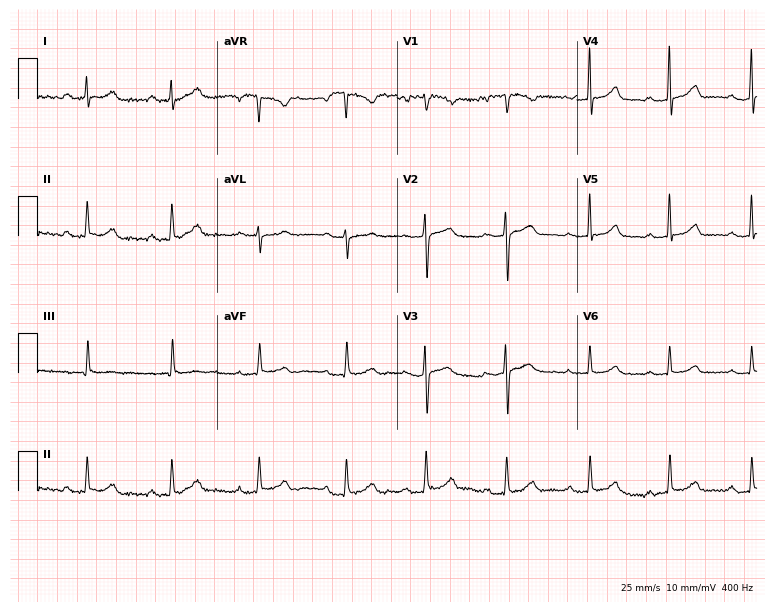
ECG — a 33-year-old female patient. Findings include first-degree AV block.